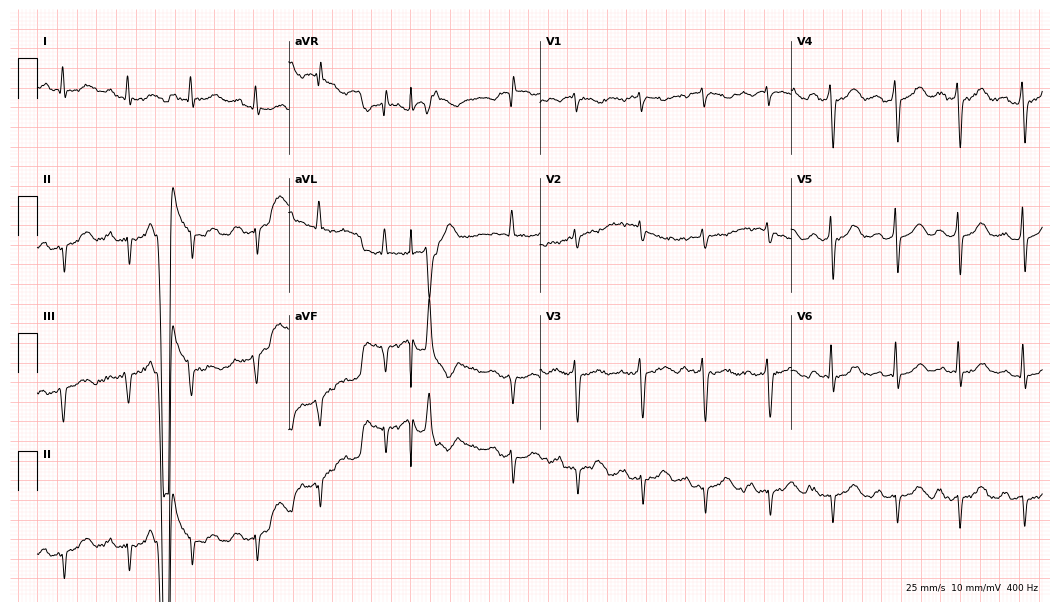
Standard 12-lead ECG recorded from a male, 76 years old. The tracing shows first-degree AV block.